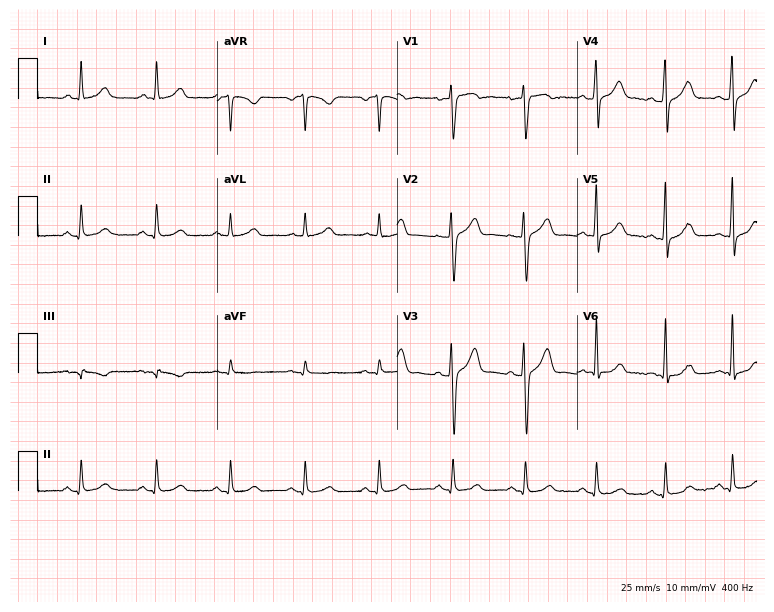
12-lead ECG from a male patient, 52 years old. Recorded interpretation: within normal limits.